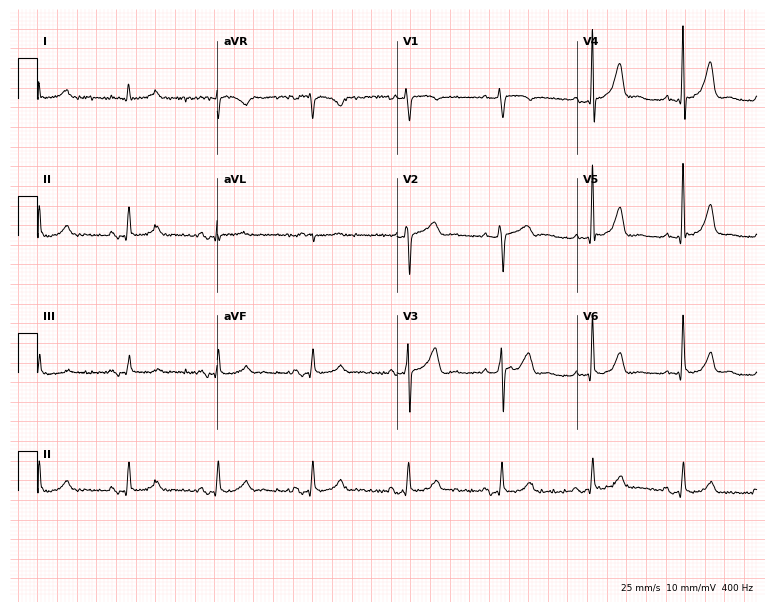
12-lead ECG from a male, 76 years old. Labelled as a normal ECG.